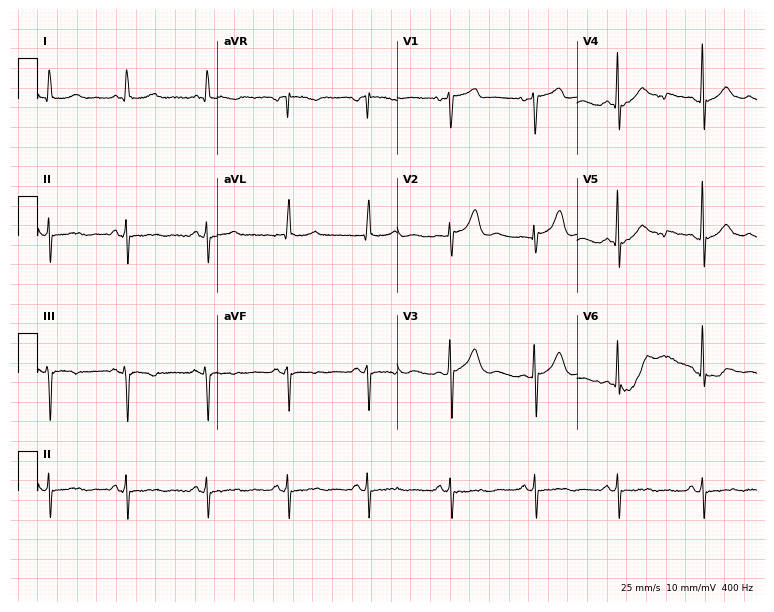
12-lead ECG (7.3-second recording at 400 Hz) from an 85-year-old man. Screened for six findings — first-degree AV block, right bundle branch block, left bundle branch block, sinus bradycardia, atrial fibrillation, sinus tachycardia — none is recorded. Only these six findings were labelled.